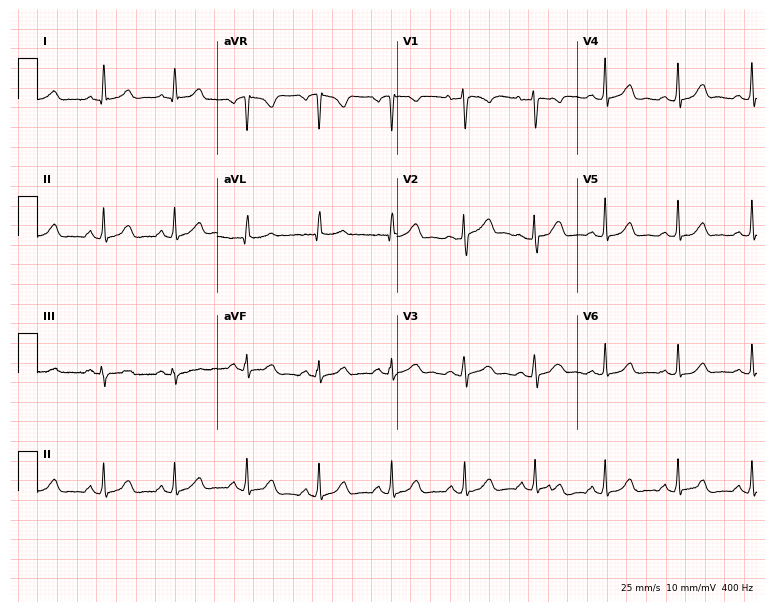
Standard 12-lead ECG recorded from a 24-year-old female (7.3-second recording at 400 Hz). Read as a normal ECG.